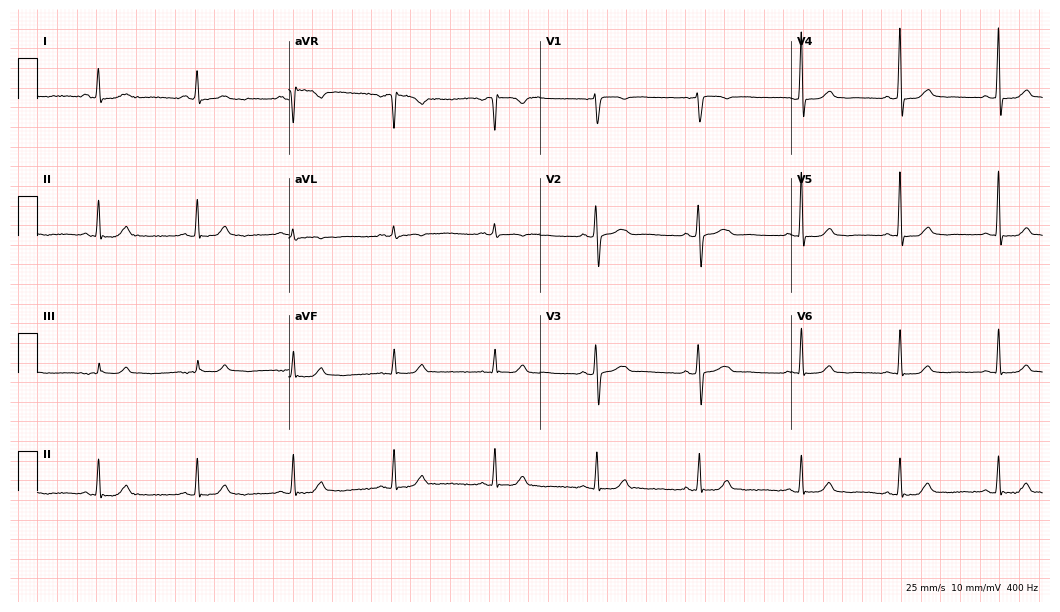
12-lead ECG (10.2-second recording at 400 Hz) from a 50-year-old female patient. Labelled as a normal ECG.